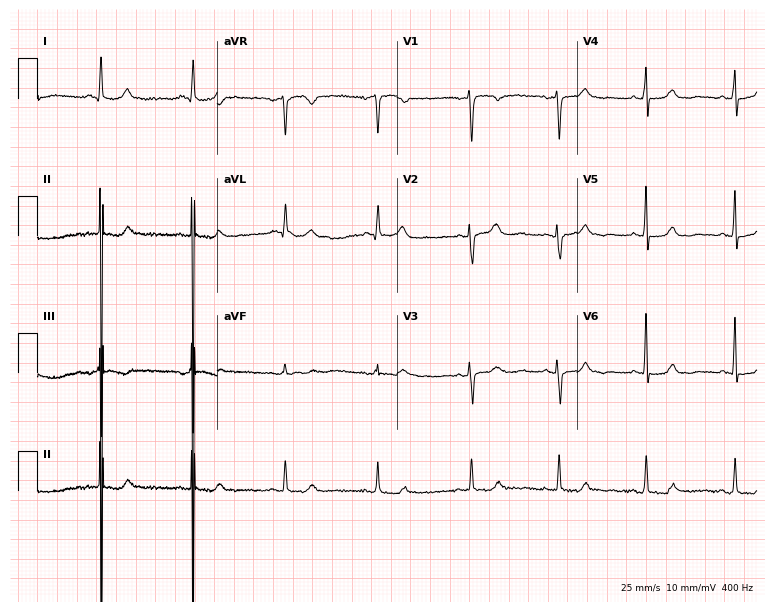
ECG — a 49-year-old female patient. Screened for six findings — first-degree AV block, right bundle branch block, left bundle branch block, sinus bradycardia, atrial fibrillation, sinus tachycardia — none is recorded.